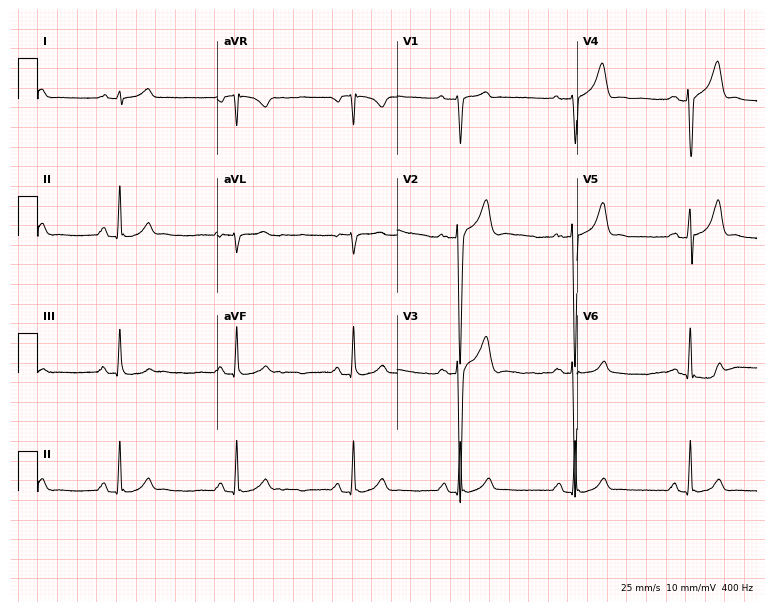
Electrocardiogram (7.3-second recording at 400 Hz), a 33-year-old male patient. Of the six screened findings (first-degree AV block, right bundle branch block (RBBB), left bundle branch block (LBBB), sinus bradycardia, atrial fibrillation (AF), sinus tachycardia), none is recorded.